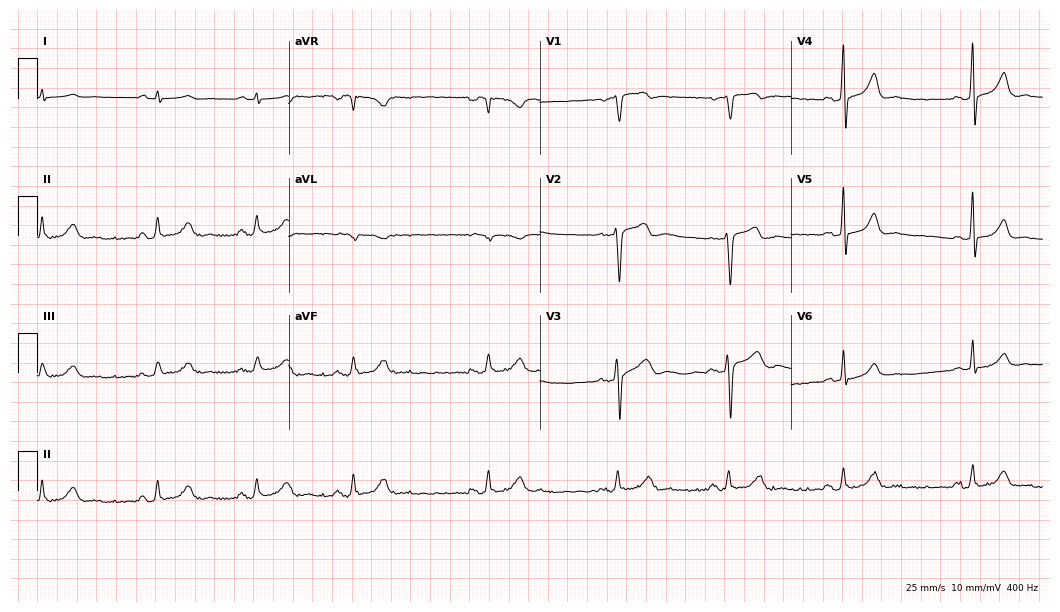
Electrocardiogram, a male, 55 years old. Overall reading on record: normal ECG.